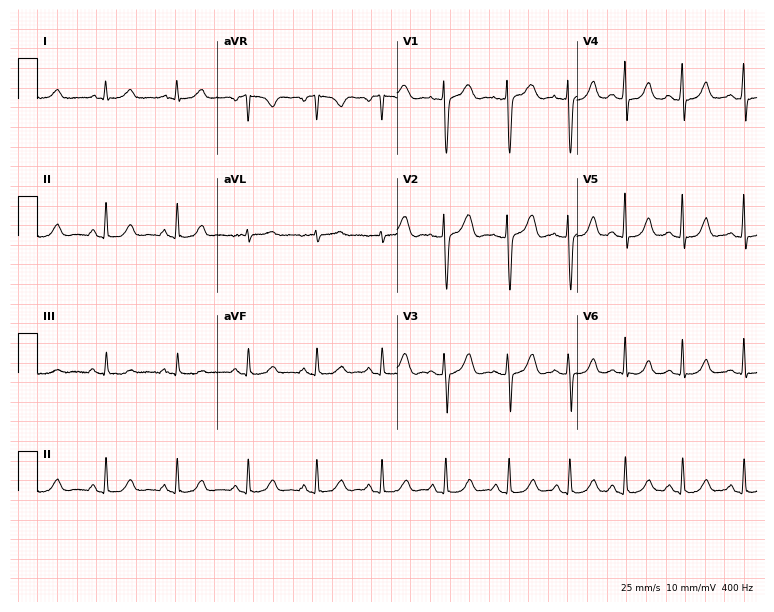
Standard 12-lead ECG recorded from a woman, 38 years old. Read as a normal ECG.